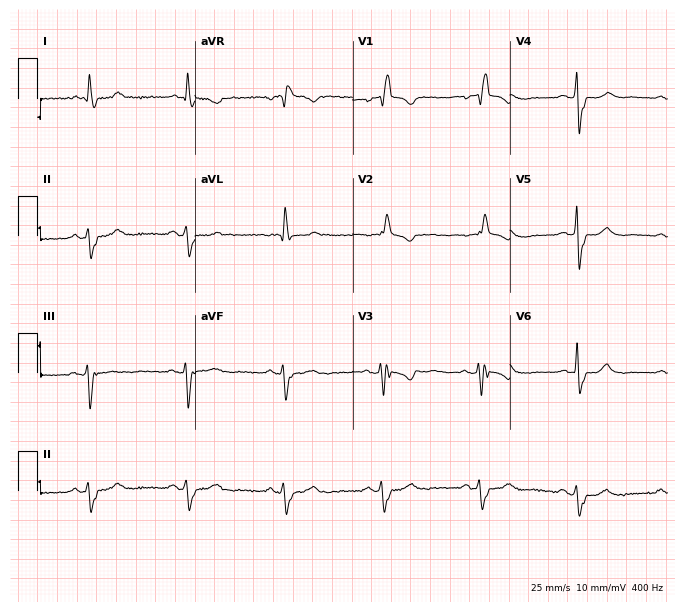
Resting 12-lead electrocardiogram (6.4-second recording at 400 Hz). Patient: a female, 71 years old. None of these six findings is recorded: first-degree AV block, right bundle branch block, left bundle branch block, sinus bradycardia, atrial fibrillation, sinus tachycardia.